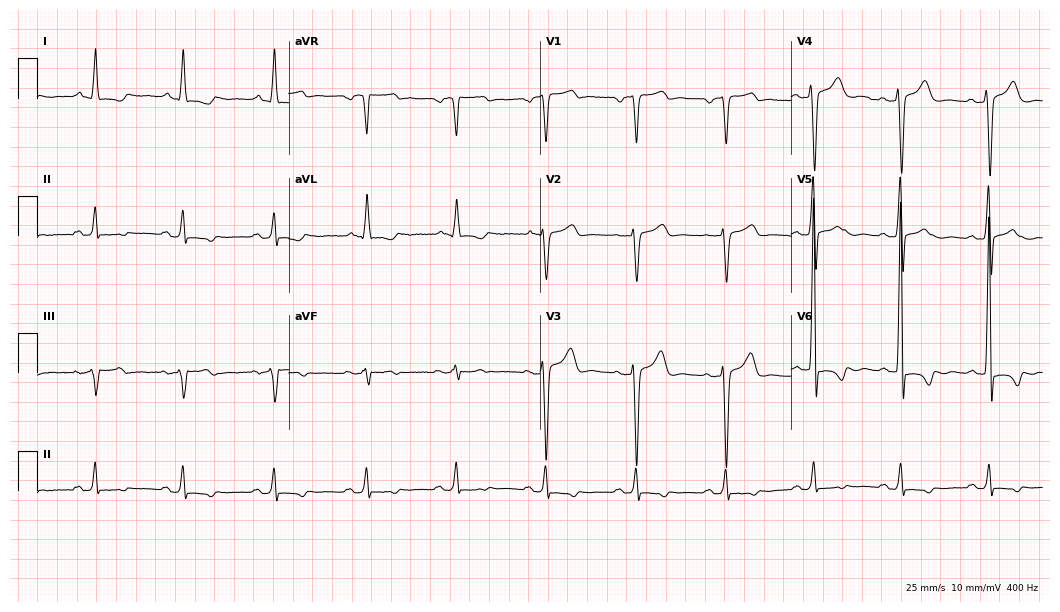
Resting 12-lead electrocardiogram. Patient: a 55-year-old male. None of these six findings is recorded: first-degree AV block, right bundle branch block, left bundle branch block, sinus bradycardia, atrial fibrillation, sinus tachycardia. Other findings, if any, are not listed.